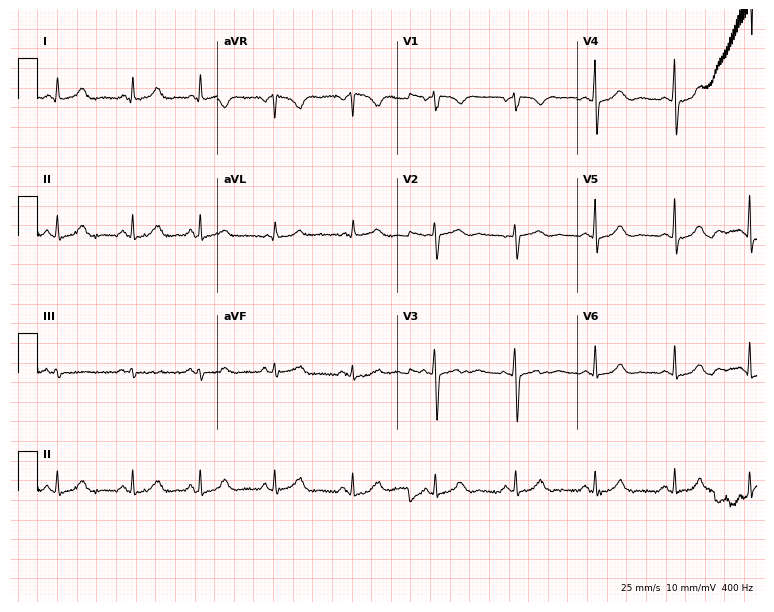
ECG (7.3-second recording at 400 Hz) — a female patient, 38 years old. Labelled as a normal ECG.